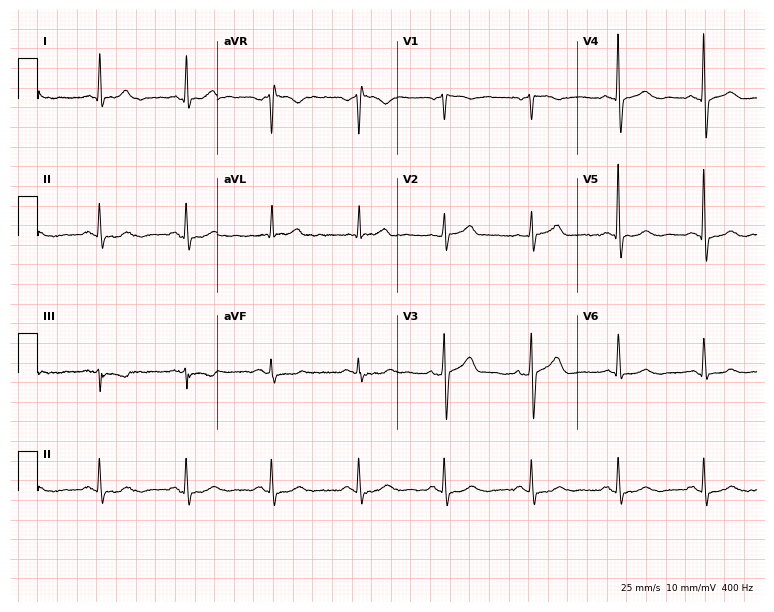
12-lead ECG from a man, 76 years old. Labelled as a normal ECG.